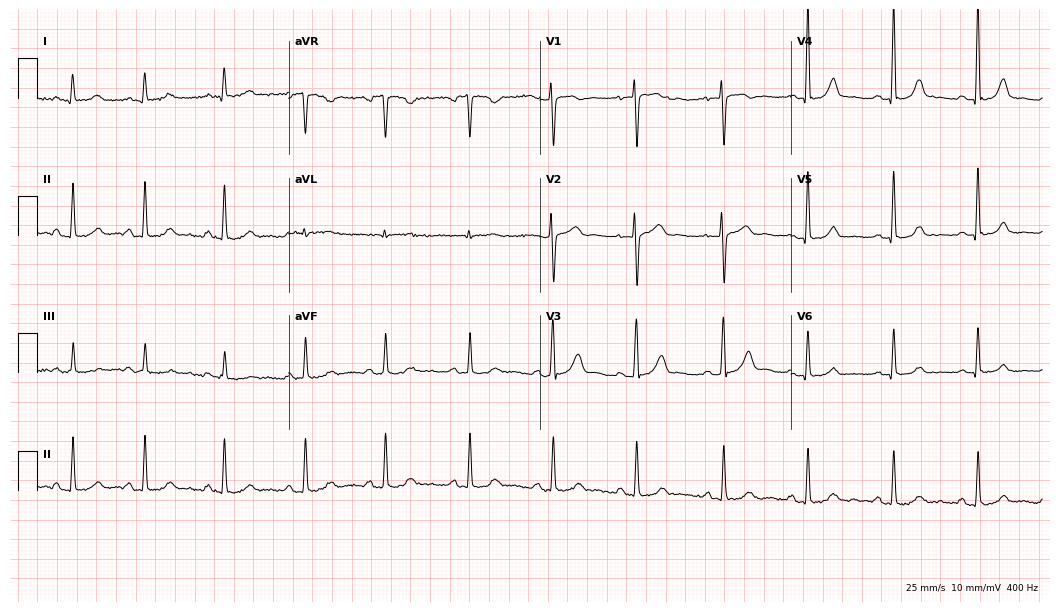
Standard 12-lead ECG recorded from a woman, 33 years old (10.2-second recording at 400 Hz). Read as a normal ECG.